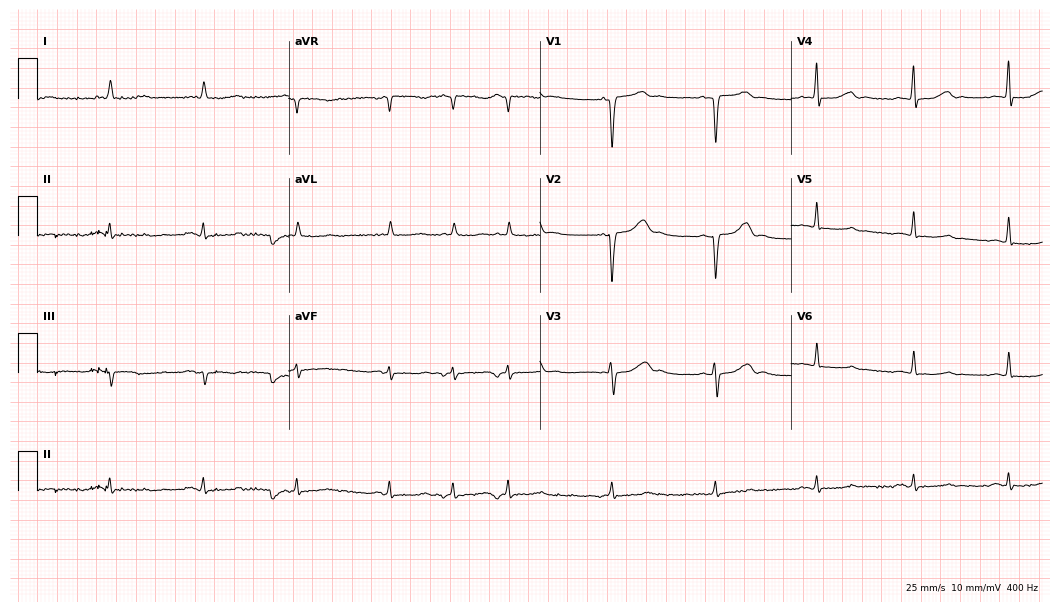
Electrocardiogram, an 84-year-old female. Of the six screened findings (first-degree AV block, right bundle branch block, left bundle branch block, sinus bradycardia, atrial fibrillation, sinus tachycardia), none is recorded.